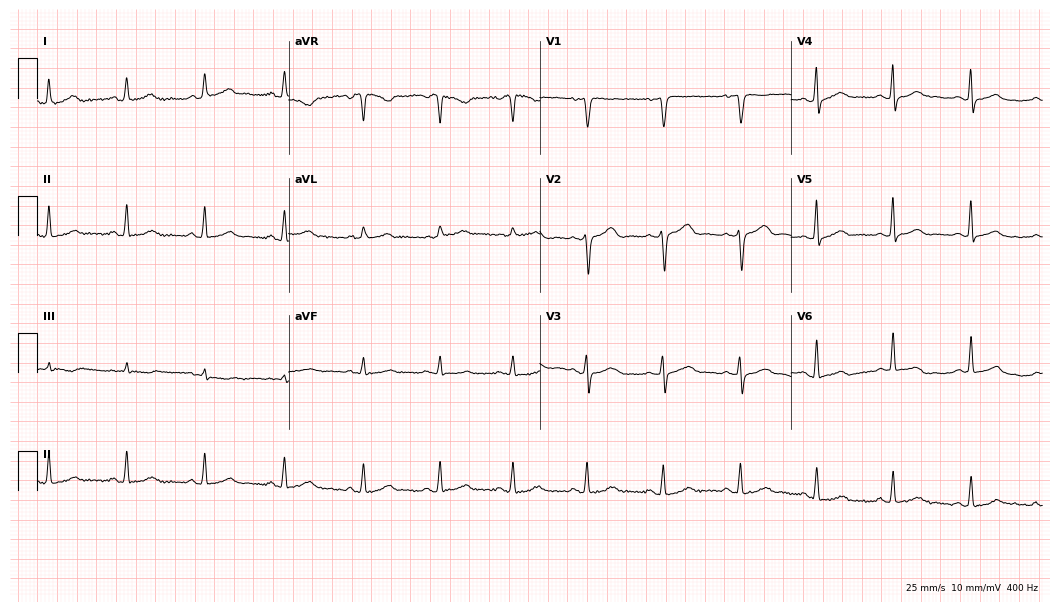
12-lead ECG from a female, 49 years old (10.2-second recording at 400 Hz). Recorded interpretation: within normal limits.